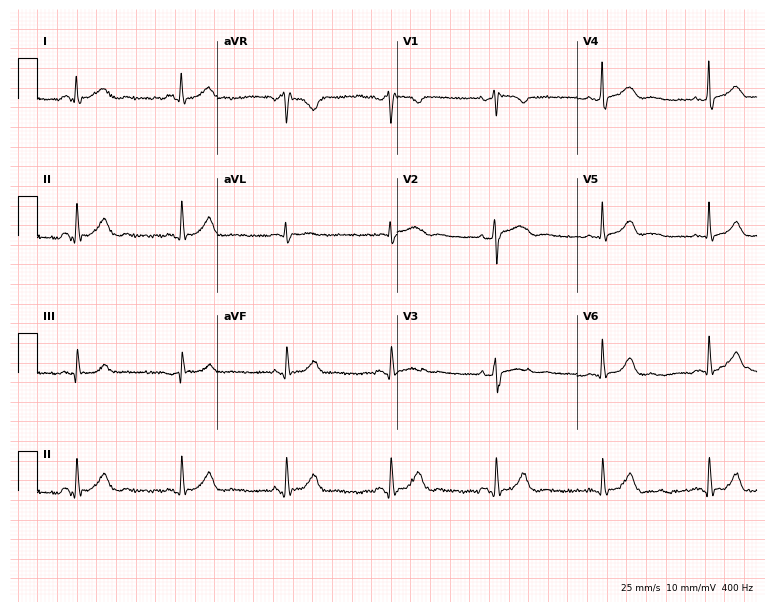
12-lead ECG from a 59-year-old female patient. Screened for six findings — first-degree AV block, right bundle branch block (RBBB), left bundle branch block (LBBB), sinus bradycardia, atrial fibrillation (AF), sinus tachycardia — none is recorded.